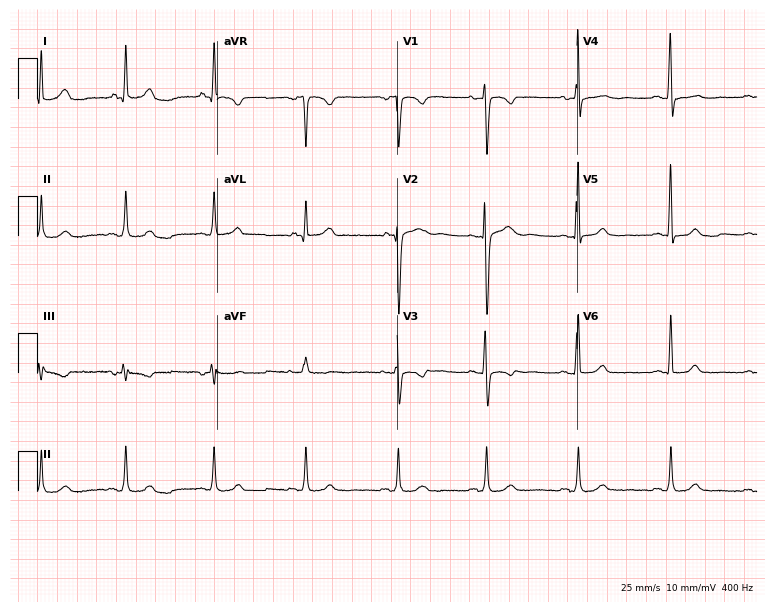
ECG — a female, 36 years old. Screened for six findings — first-degree AV block, right bundle branch block, left bundle branch block, sinus bradycardia, atrial fibrillation, sinus tachycardia — none is recorded.